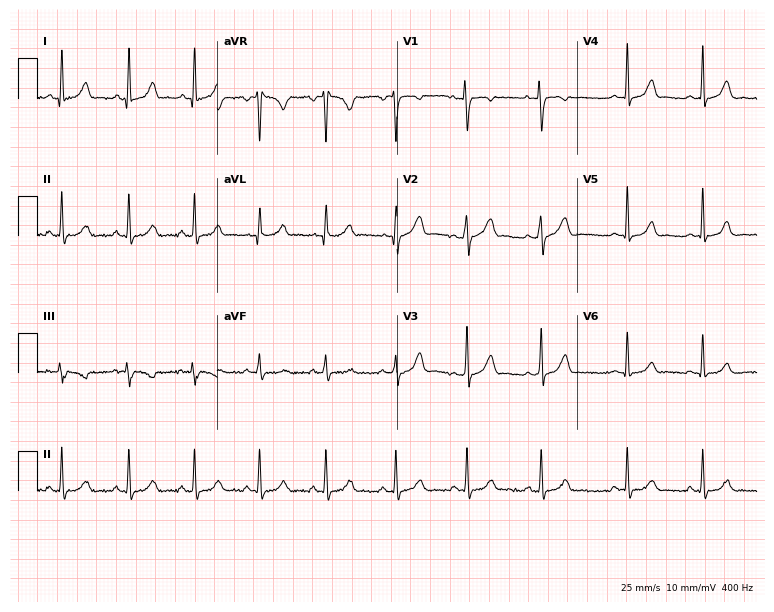
ECG (7.3-second recording at 400 Hz) — a 25-year-old woman. Labelled as a normal ECG.